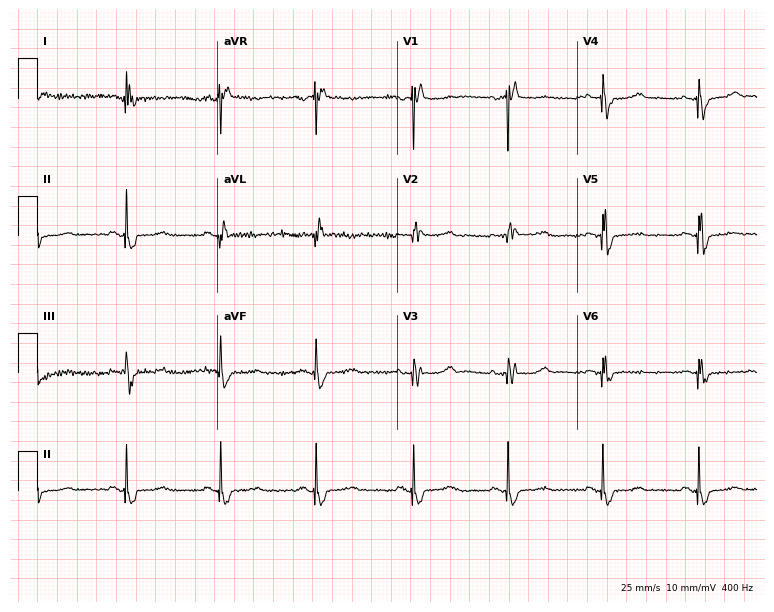
12-lead ECG from an 81-year-old woman (7.3-second recording at 400 Hz). No first-degree AV block, right bundle branch block, left bundle branch block, sinus bradycardia, atrial fibrillation or sinus tachycardia recorded for this tracing. Other findings, if any, are not listed.